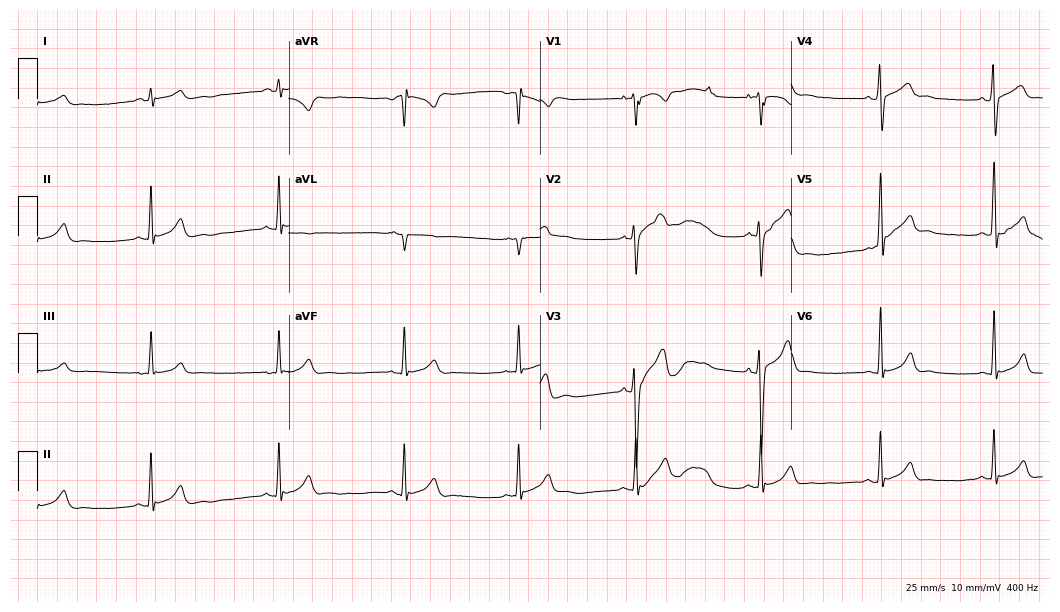
Standard 12-lead ECG recorded from an 18-year-old male (10.2-second recording at 400 Hz). The tracing shows sinus bradycardia (a sinus rate of 50 beats per minute or less).